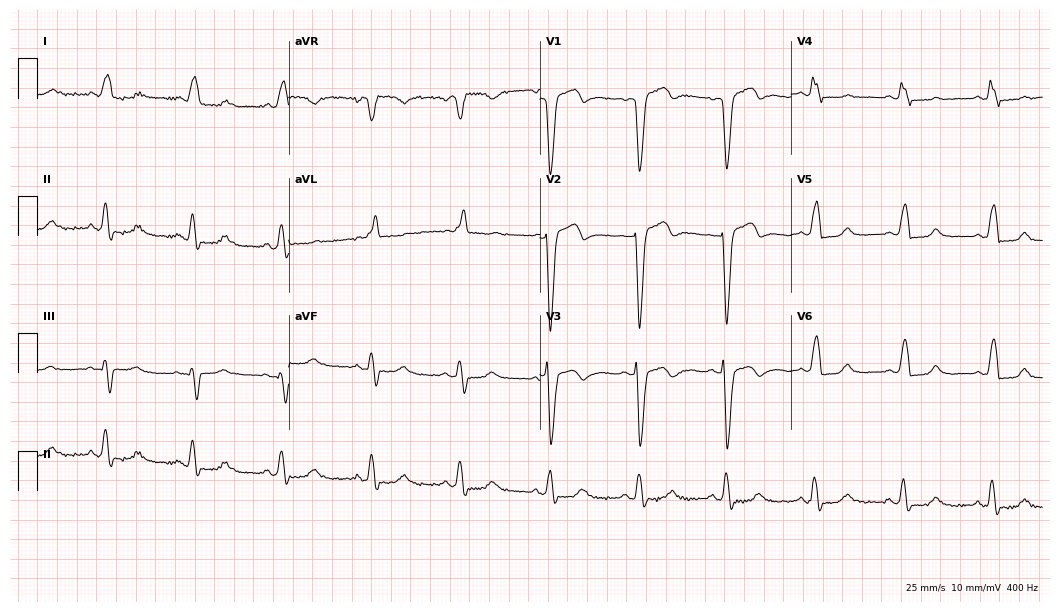
12-lead ECG from a 59-year-old woman. Findings include left bundle branch block.